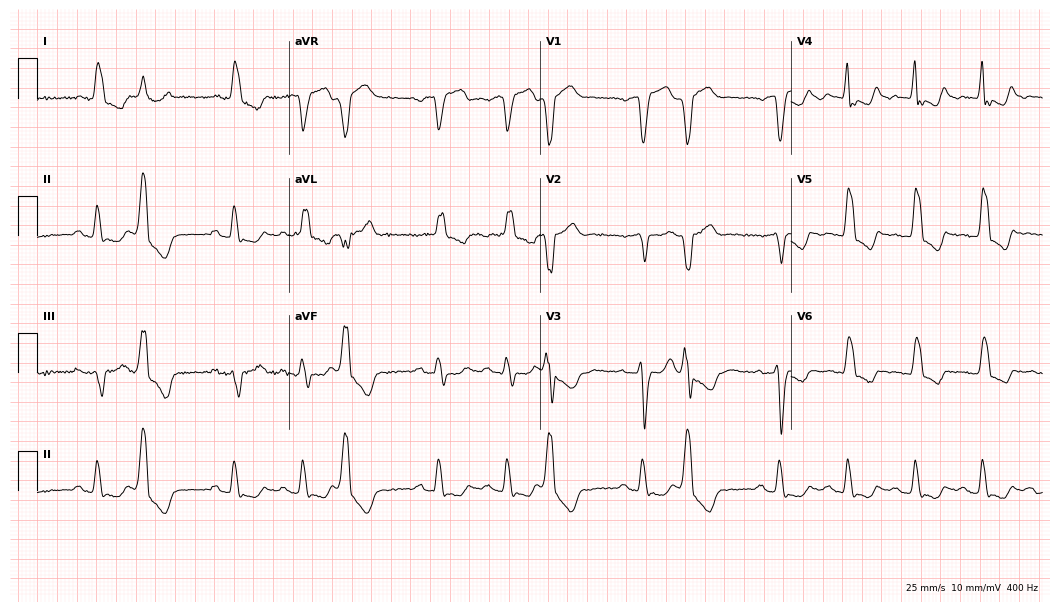
Electrocardiogram (10.2-second recording at 400 Hz), an 85-year-old female patient. Interpretation includes left bundle branch block (LBBB).